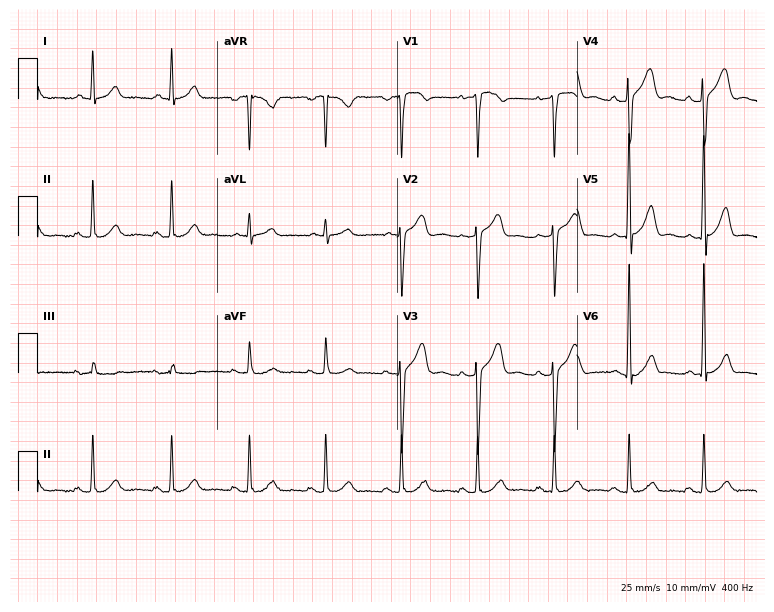
12-lead ECG from a 61-year-old man (7.3-second recording at 400 Hz). Recorded interpretation: within normal limits.